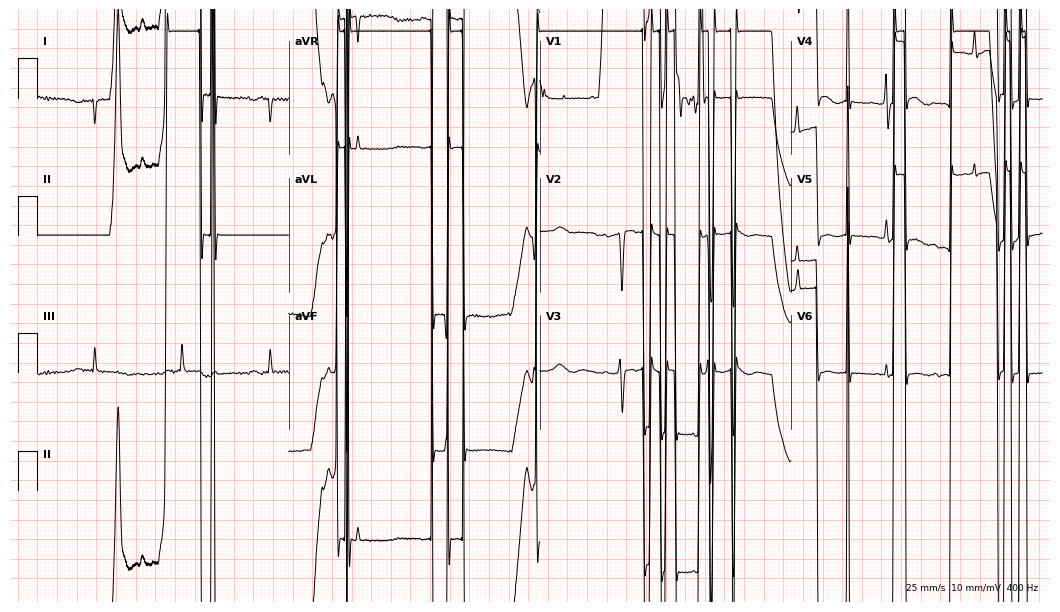
Resting 12-lead electrocardiogram (10.2-second recording at 400 Hz). Patient: an 80-year-old woman. None of these six findings is recorded: first-degree AV block, right bundle branch block, left bundle branch block, sinus bradycardia, atrial fibrillation, sinus tachycardia. Only these six findings were labelled.